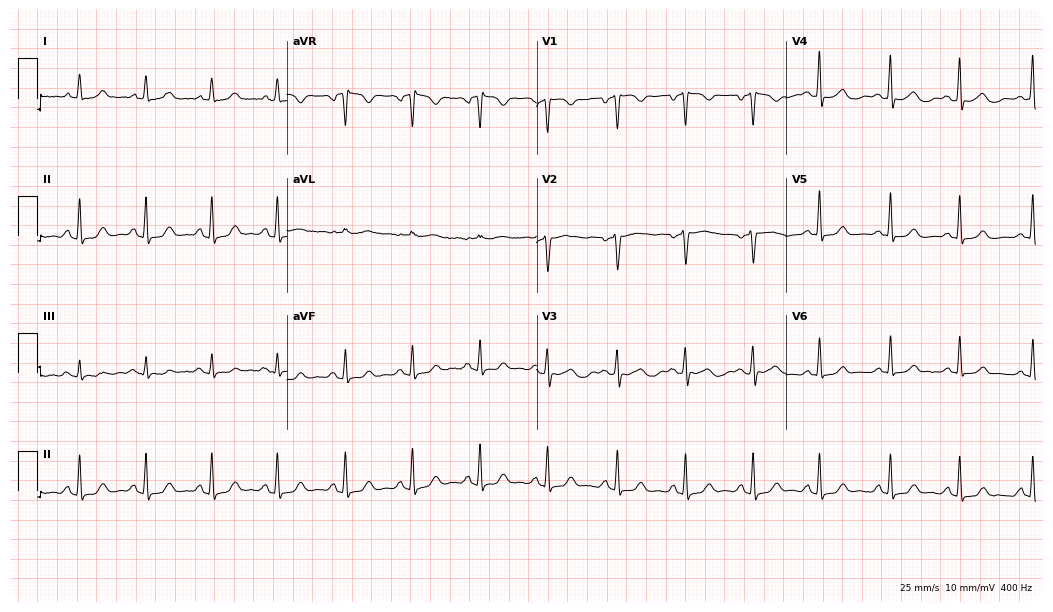
12-lead ECG (10.2-second recording at 400 Hz) from a 59-year-old female patient. Screened for six findings — first-degree AV block, right bundle branch block, left bundle branch block, sinus bradycardia, atrial fibrillation, sinus tachycardia — none is recorded.